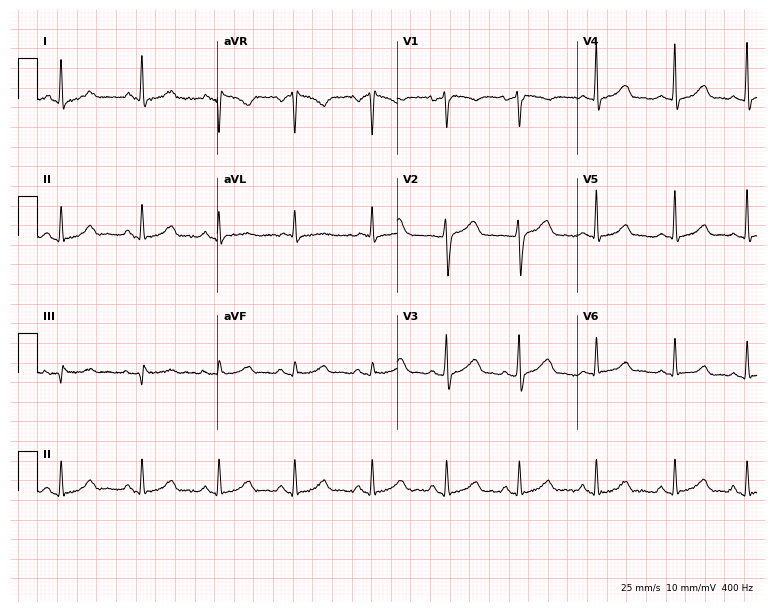
12-lead ECG from a female, 39 years old. Labelled as a normal ECG.